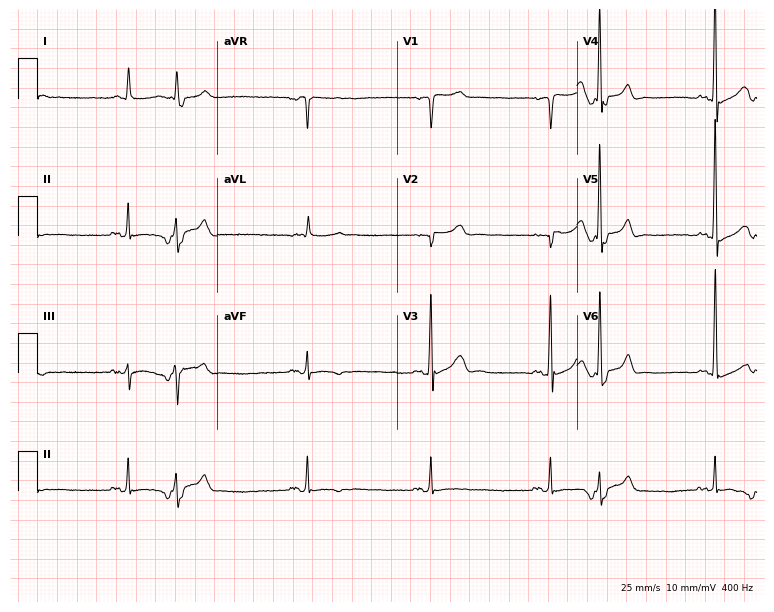
ECG (7.3-second recording at 400 Hz) — a 61-year-old male patient. Findings include sinus bradycardia (a sinus rate of 50 beats per minute or less).